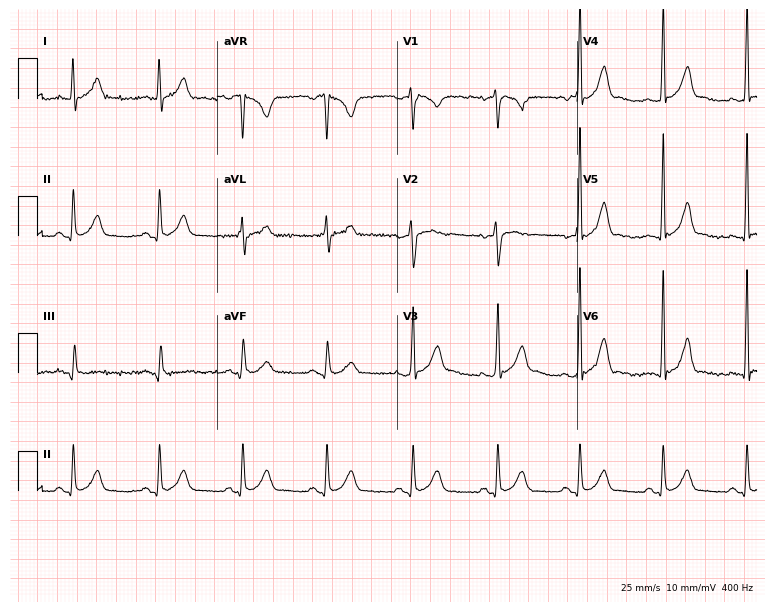
Electrocardiogram, a male, 30 years old. Overall reading on record: normal ECG.